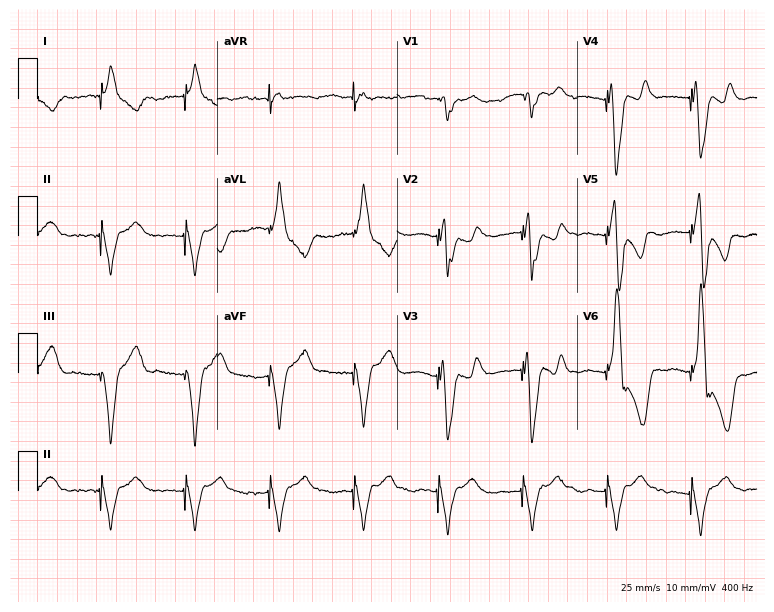
ECG — a male patient, 75 years old. Screened for six findings — first-degree AV block, right bundle branch block (RBBB), left bundle branch block (LBBB), sinus bradycardia, atrial fibrillation (AF), sinus tachycardia — none is recorded.